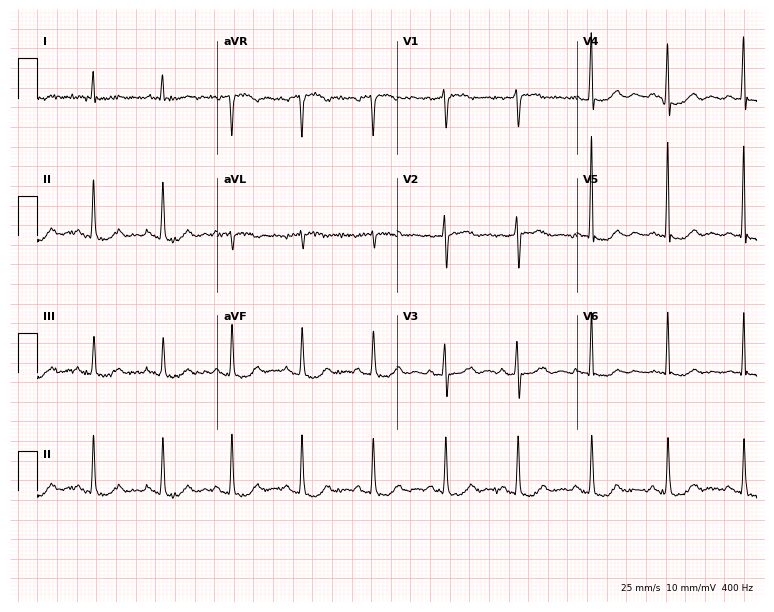
Resting 12-lead electrocardiogram. Patient: a 73-year-old male. None of these six findings is recorded: first-degree AV block, right bundle branch block, left bundle branch block, sinus bradycardia, atrial fibrillation, sinus tachycardia. Findings outside these six are not listed.